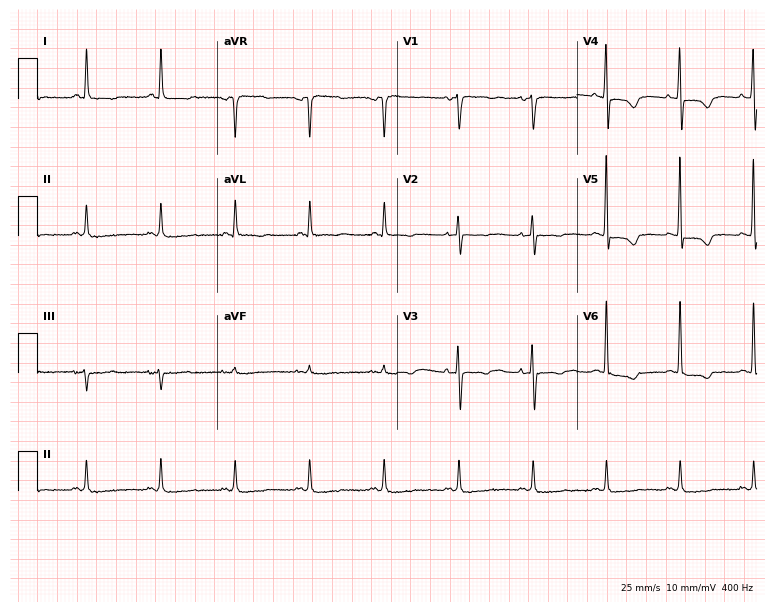
Electrocardiogram, a 75-year-old female patient. Of the six screened findings (first-degree AV block, right bundle branch block, left bundle branch block, sinus bradycardia, atrial fibrillation, sinus tachycardia), none is recorded. Findings outside these six are not listed.